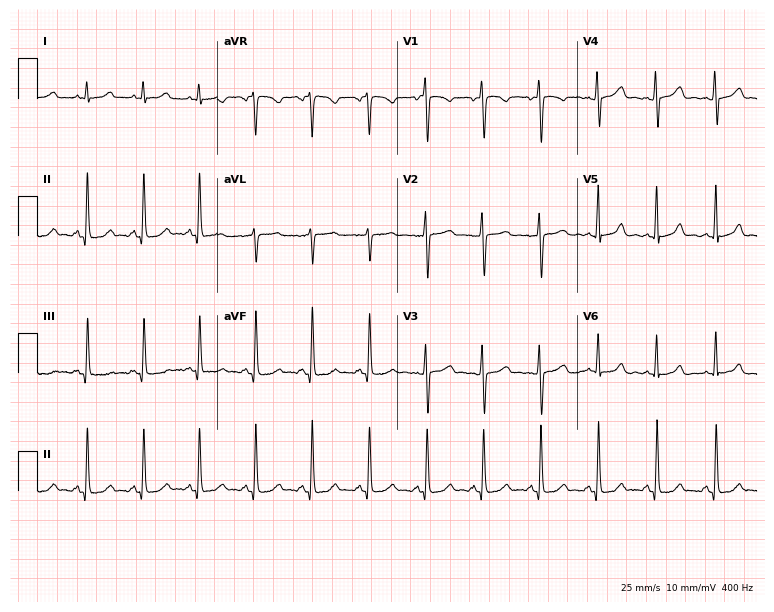
ECG — a 48-year-old female patient. Findings include sinus tachycardia (a sinus rate of 100 beats per minute or more).